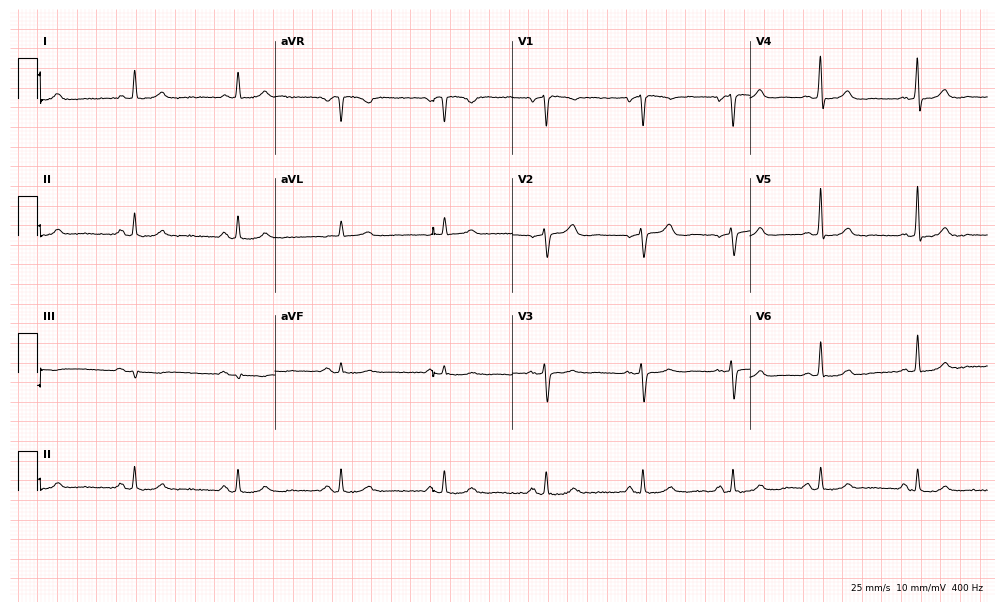
Standard 12-lead ECG recorded from a 76-year-old male patient (9.7-second recording at 400 Hz). None of these six findings is recorded: first-degree AV block, right bundle branch block (RBBB), left bundle branch block (LBBB), sinus bradycardia, atrial fibrillation (AF), sinus tachycardia.